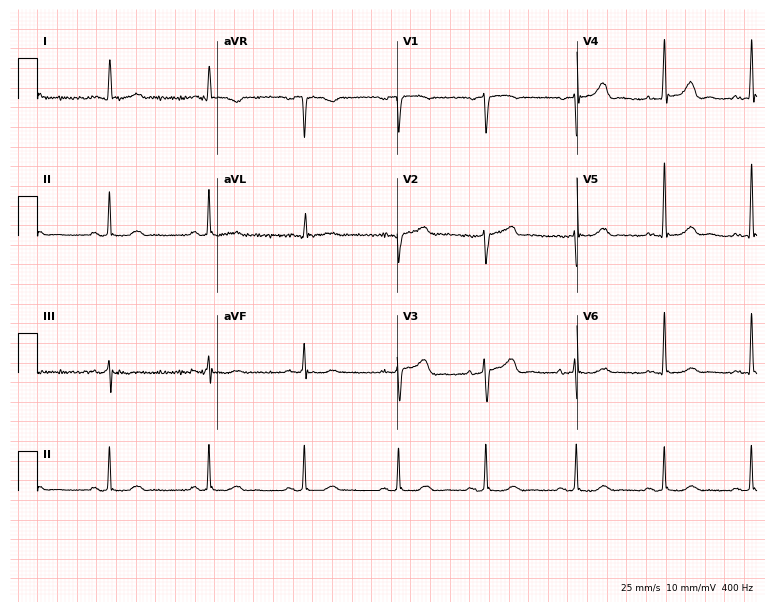
12-lead ECG from a female, 58 years old. Labelled as a normal ECG.